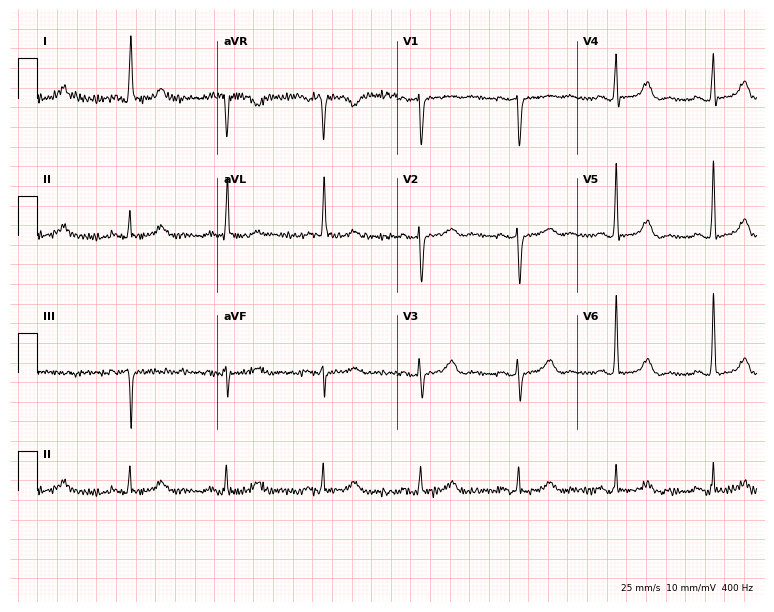
Electrocardiogram (7.3-second recording at 400 Hz), a 73-year-old female. Of the six screened findings (first-degree AV block, right bundle branch block (RBBB), left bundle branch block (LBBB), sinus bradycardia, atrial fibrillation (AF), sinus tachycardia), none is recorded.